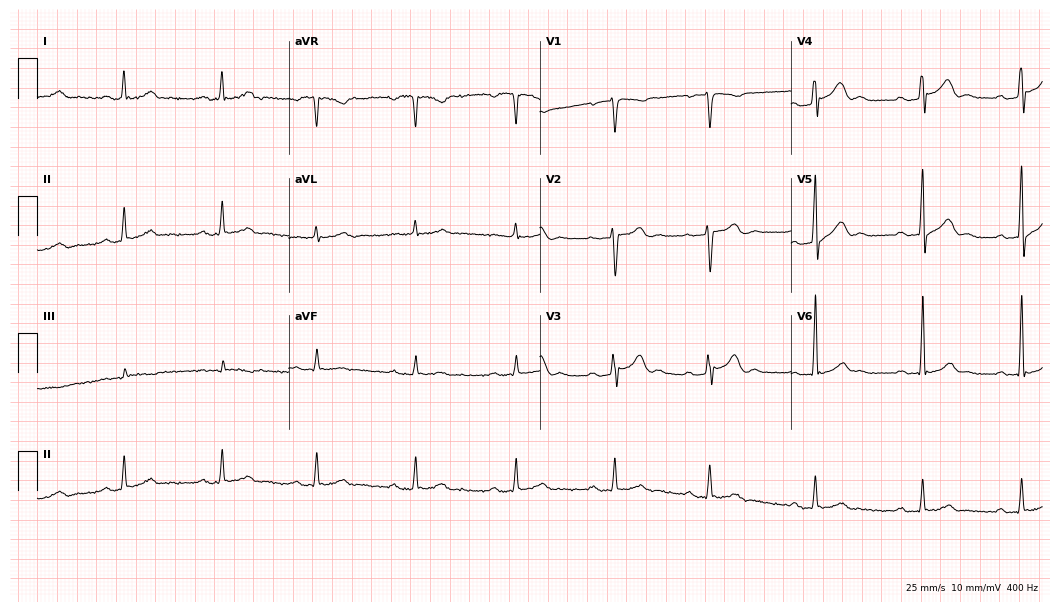
Standard 12-lead ECG recorded from a 32-year-old man. Read as a normal ECG.